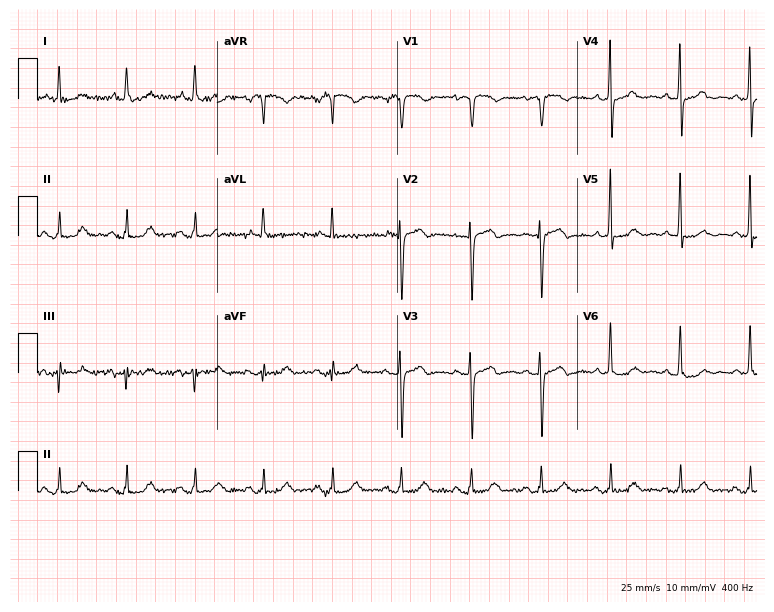
Resting 12-lead electrocardiogram. Patient: a female, 63 years old. None of these six findings is recorded: first-degree AV block, right bundle branch block, left bundle branch block, sinus bradycardia, atrial fibrillation, sinus tachycardia.